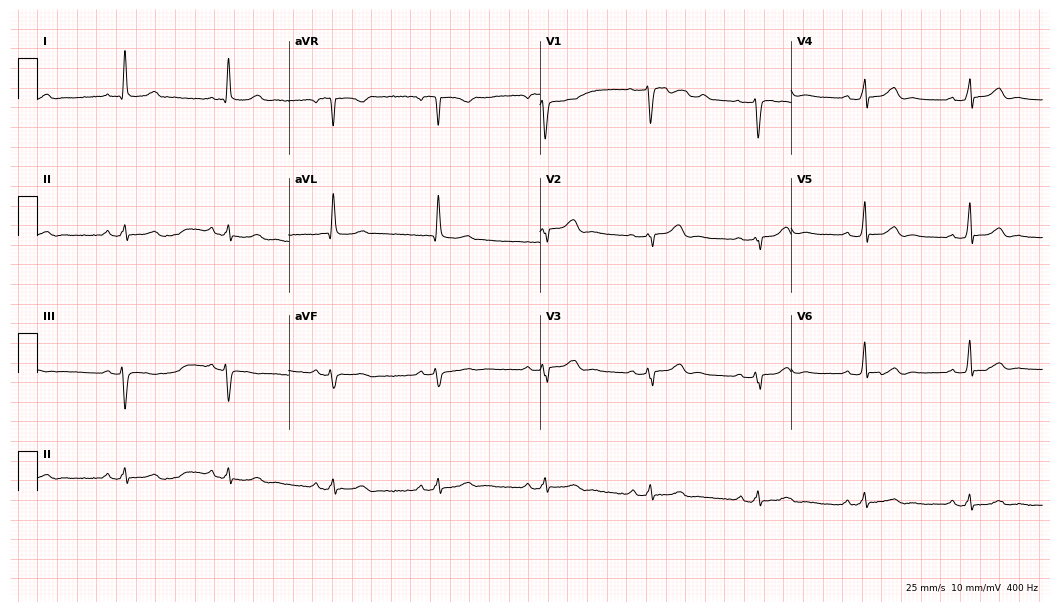
ECG — a 63-year-old woman. Screened for six findings — first-degree AV block, right bundle branch block, left bundle branch block, sinus bradycardia, atrial fibrillation, sinus tachycardia — none is recorded. Findings outside these six are not listed.